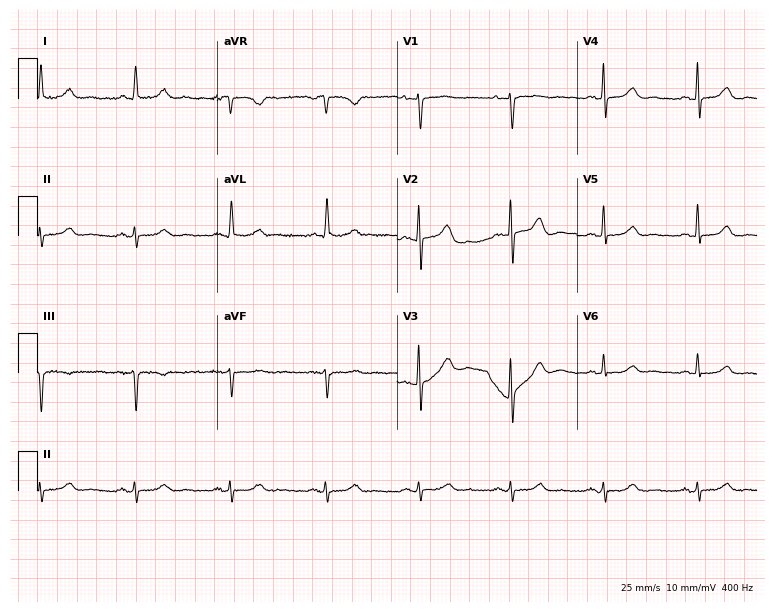
Standard 12-lead ECG recorded from a 72-year-old female patient (7.3-second recording at 400 Hz). Read as a normal ECG.